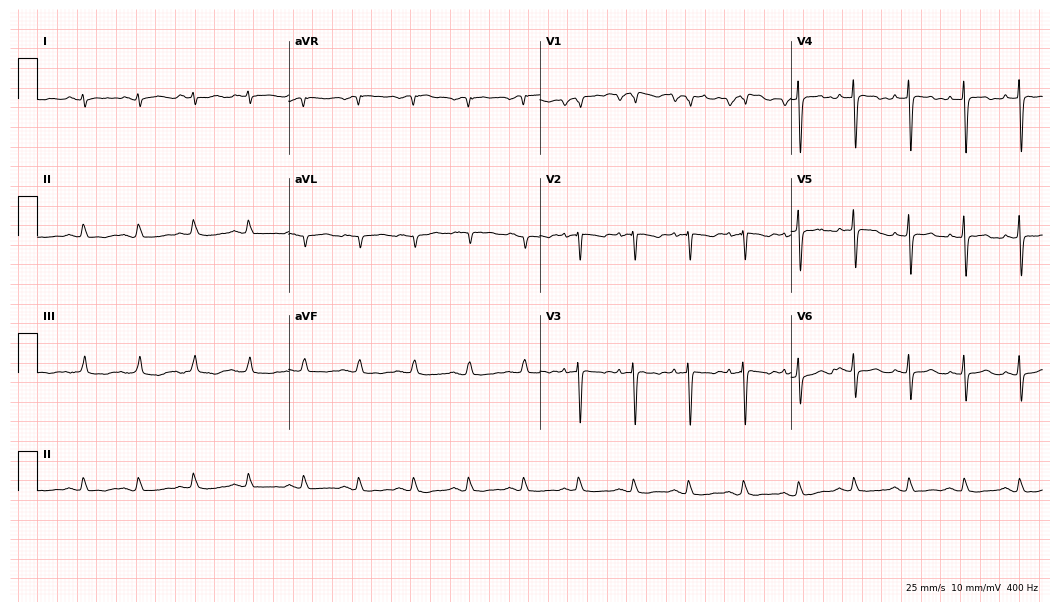
Electrocardiogram (10.2-second recording at 400 Hz), a 65-year-old male patient. Interpretation includes sinus tachycardia (a sinus rate of 100 beats per minute or more).